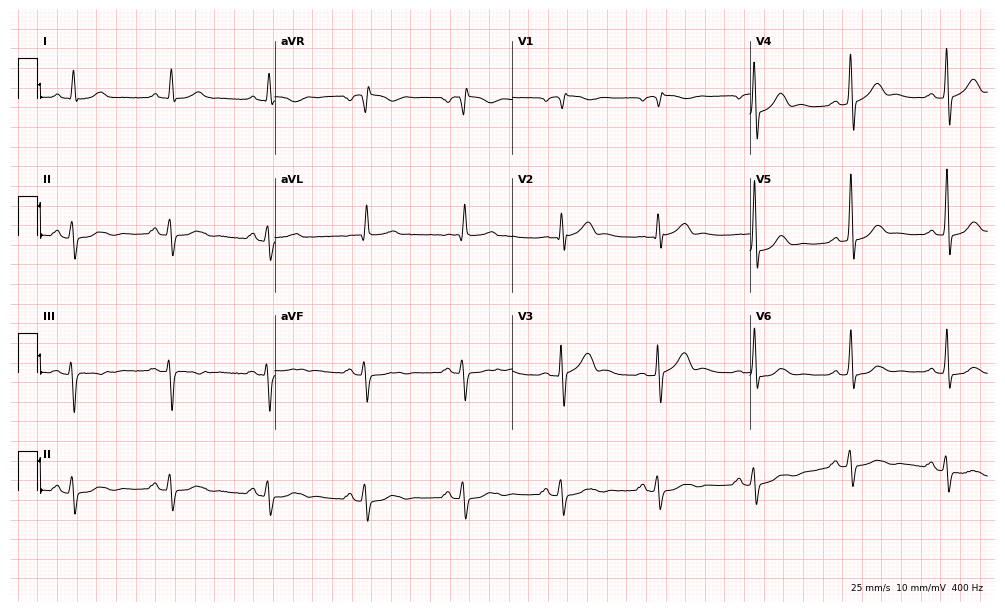
12-lead ECG from a 73-year-old man. No first-degree AV block, right bundle branch block, left bundle branch block, sinus bradycardia, atrial fibrillation or sinus tachycardia recorded for this tracing. Findings outside these six are not listed.